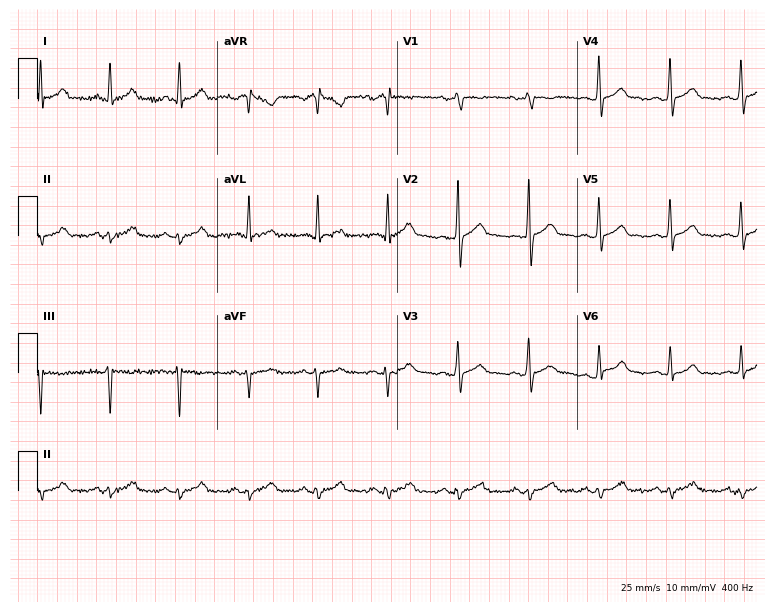
Resting 12-lead electrocardiogram (7.3-second recording at 400 Hz). Patient: a male, 37 years old. None of these six findings is recorded: first-degree AV block, right bundle branch block (RBBB), left bundle branch block (LBBB), sinus bradycardia, atrial fibrillation (AF), sinus tachycardia. Findings outside these six are not listed.